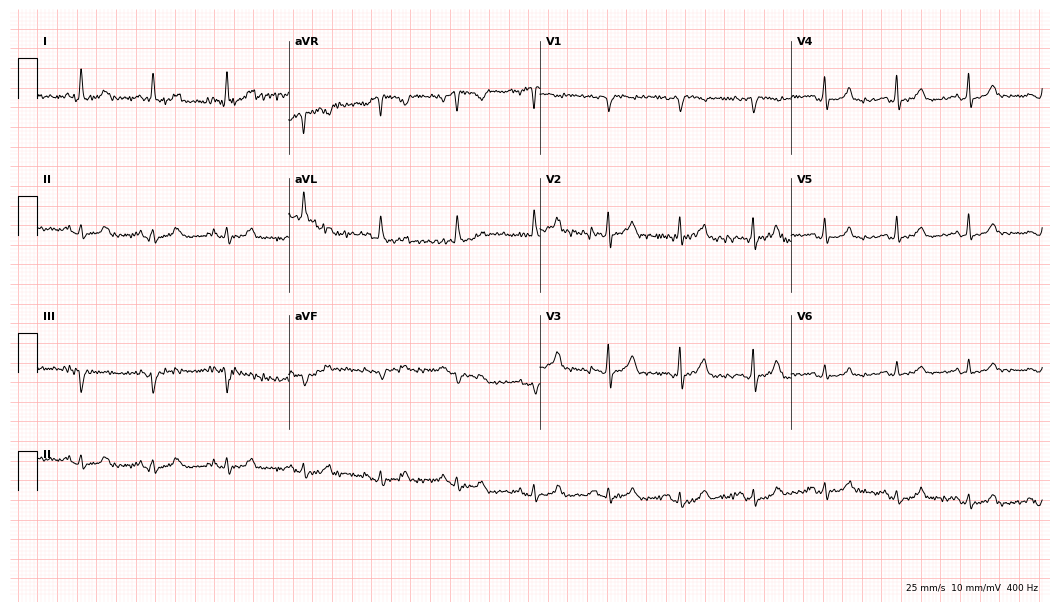
Resting 12-lead electrocardiogram. Patient: a 74-year-old female. Read as a normal ECG.